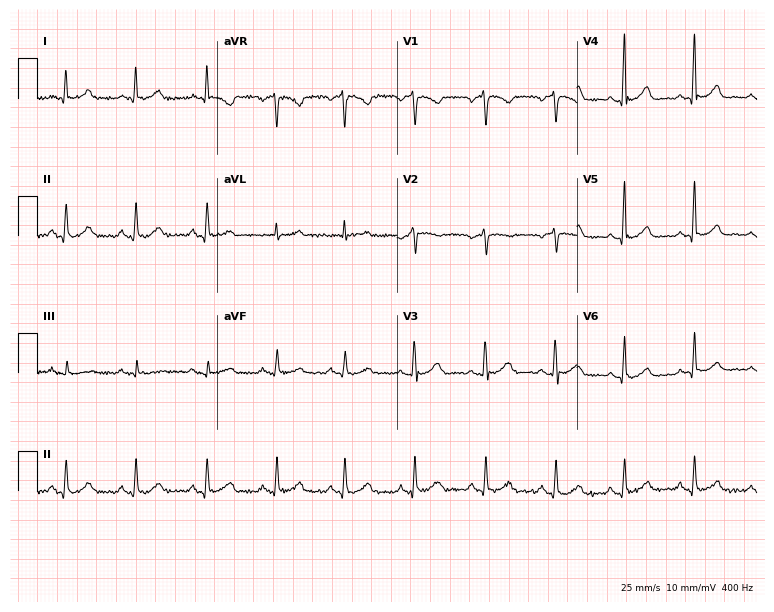
12-lead ECG from a 69-year-old woman (7.3-second recording at 400 Hz). Recorded interpretation: within normal limits.